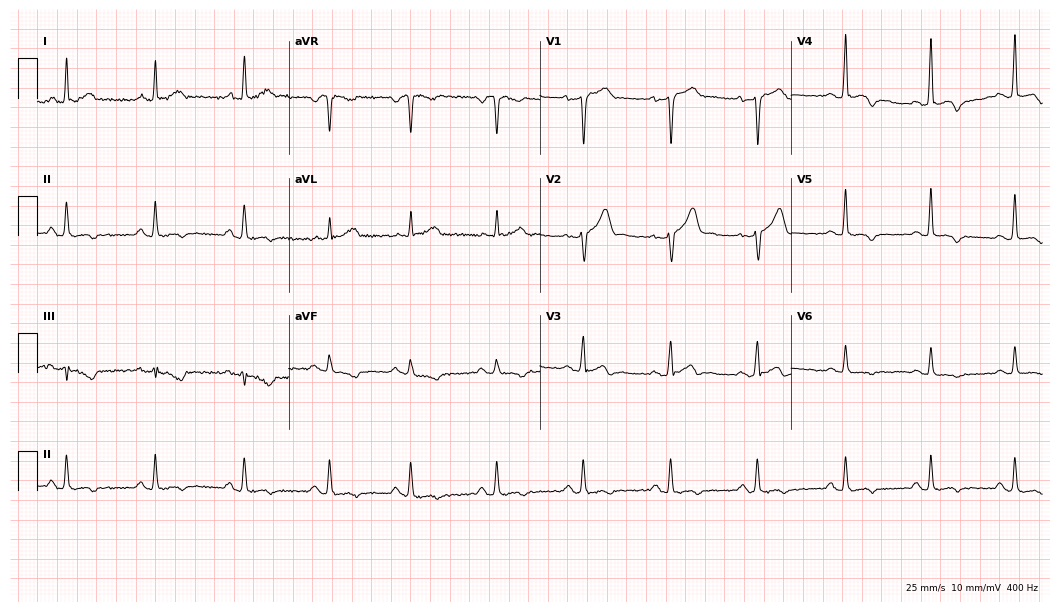
Electrocardiogram, a 38-year-old man. Of the six screened findings (first-degree AV block, right bundle branch block (RBBB), left bundle branch block (LBBB), sinus bradycardia, atrial fibrillation (AF), sinus tachycardia), none is recorded.